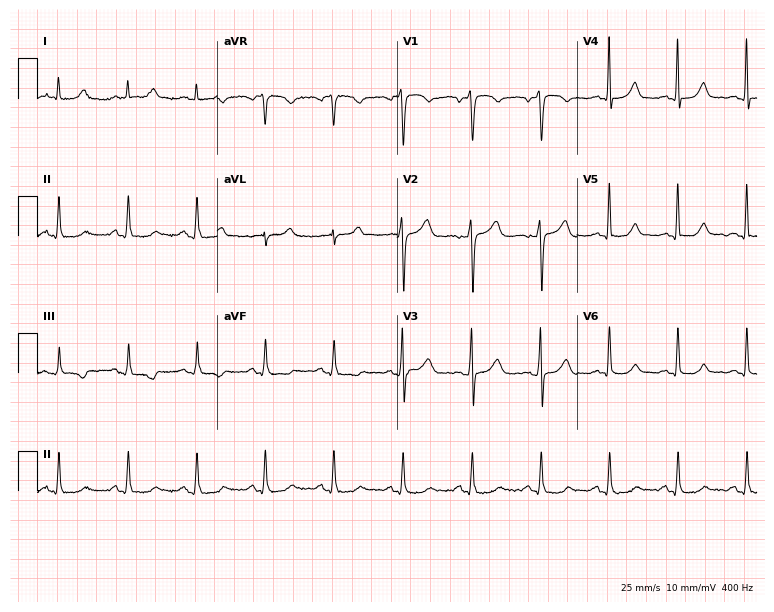
Standard 12-lead ECG recorded from a male patient, 60 years old. None of these six findings is recorded: first-degree AV block, right bundle branch block (RBBB), left bundle branch block (LBBB), sinus bradycardia, atrial fibrillation (AF), sinus tachycardia.